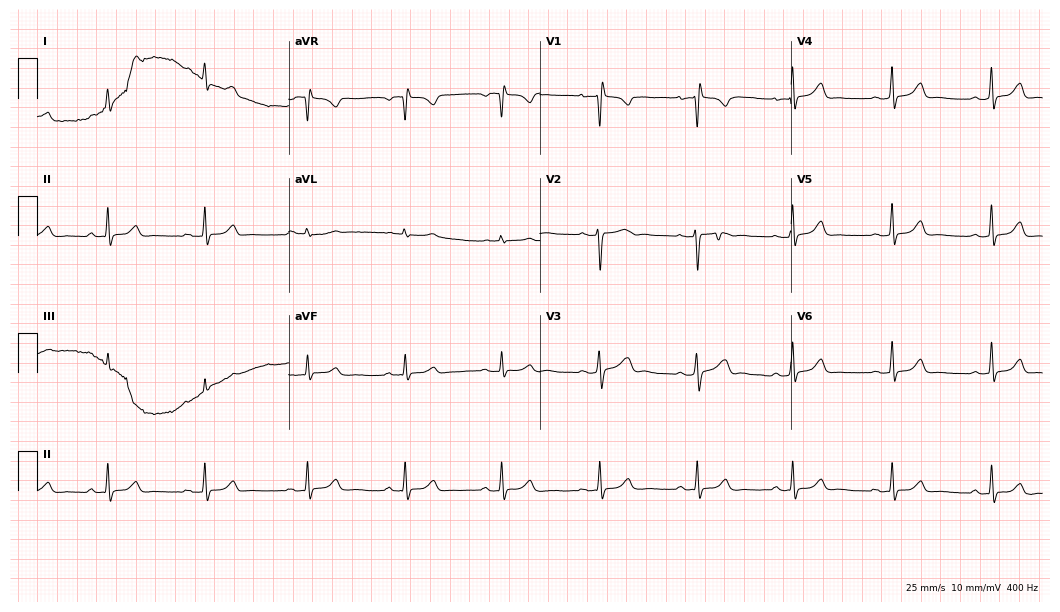
12-lead ECG from a female, 26 years old (10.2-second recording at 400 Hz). Recorded interpretation: within normal limits.